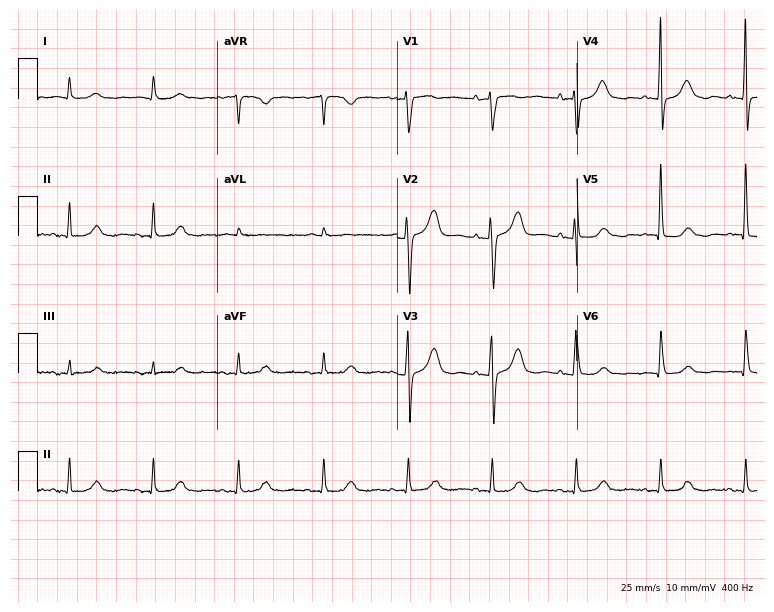
ECG (7.3-second recording at 400 Hz) — a woman, 81 years old. Screened for six findings — first-degree AV block, right bundle branch block, left bundle branch block, sinus bradycardia, atrial fibrillation, sinus tachycardia — none is recorded. Only these six findings were labelled.